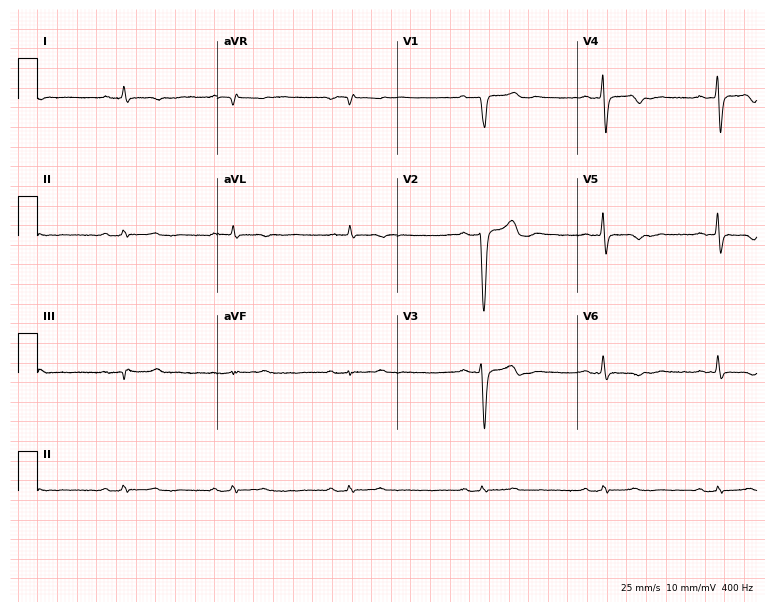
Electrocardiogram (7.3-second recording at 400 Hz), a 47-year-old male. Of the six screened findings (first-degree AV block, right bundle branch block, left bundle branch block, sinus bradycardia, atrial fibrillation, sinus tachycardia), none is recorded.